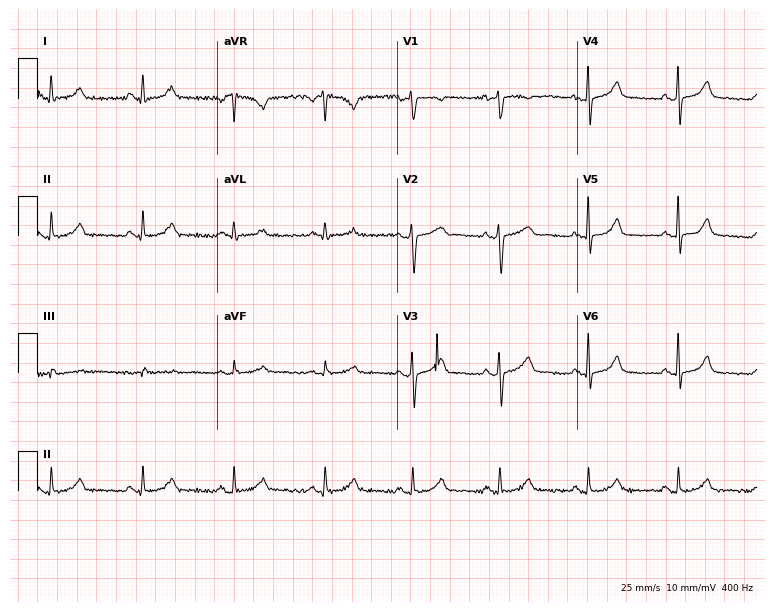
Electrocardiogram (7.3-second recording at 400 Hz), a female, 41 years old. Of the six screened findings (first-degree AV block, right bundle branch block, left bundle branch block, sinus bradycardia, atrial fibrillation, sinus tachycardia), none is recorded. Findings outside these six are not listed.